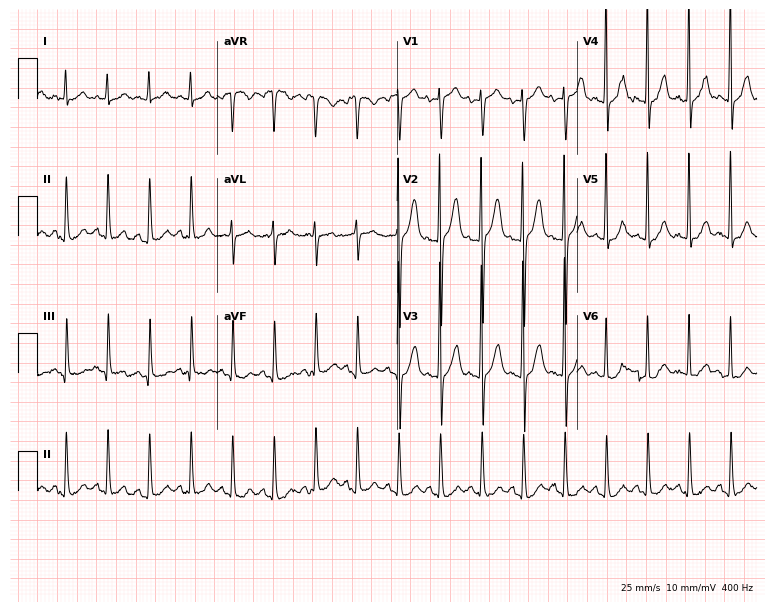
Electrocardiogram (7.3-second recording at 400 Hz), a 70-year-old man. Interpretation includes sinus tachycardia (a sinus rate of 100 beats per minute or more).